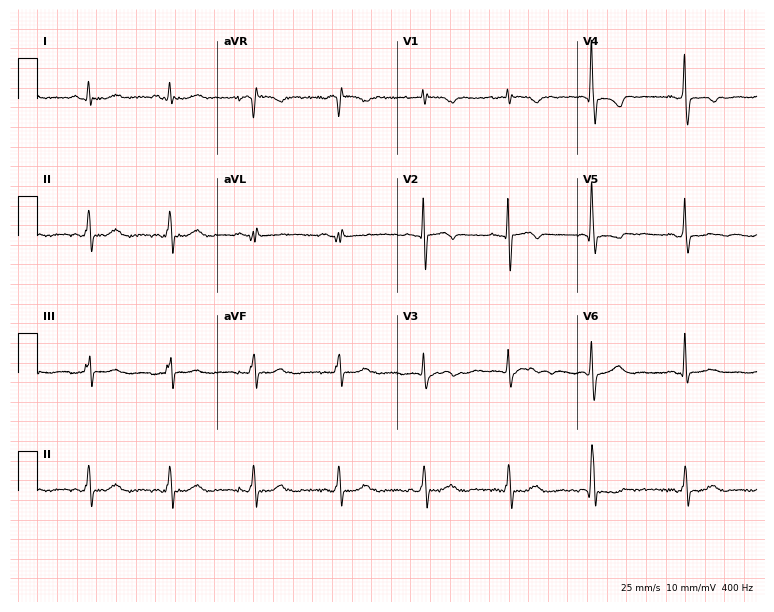
ECG (7.3-second recording at 400 Hz) — a 51-year-old male. Screened for six findings — first-degree AV block, right bundle branch block, left bundle branch block, sinus bradycardia, atrial fibrillation, sinus tachycardia — none is recorded.